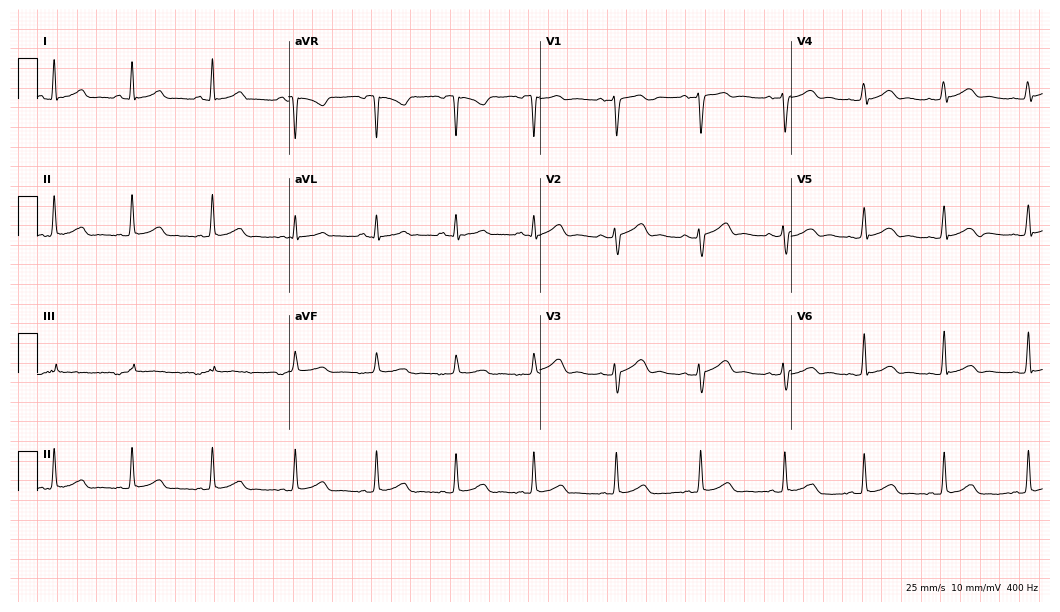
Standard 12-lead ECG recorded from a female, 31 years old (10.2-second recording at 400 Hz). Read as a normal ECG.